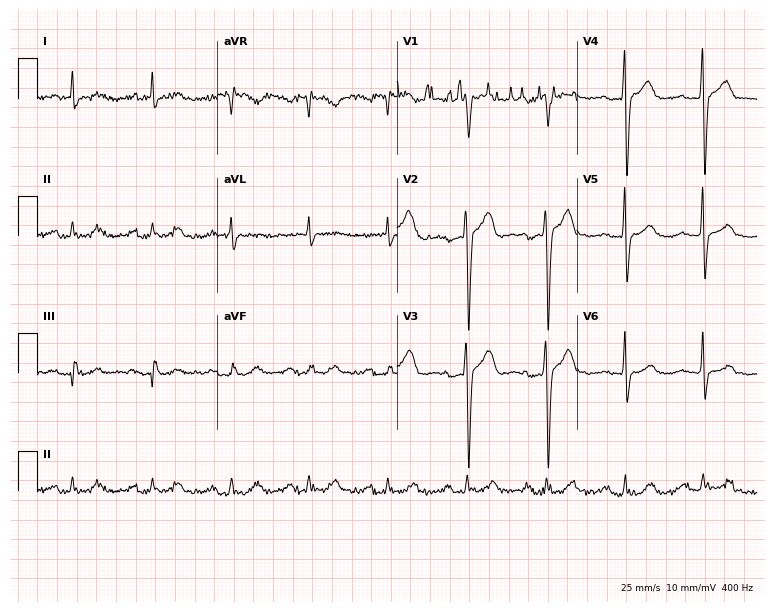
ECG (7.3-second recording at 400 Hz) — an 85-year-old man. Findings include first-degree AV block.